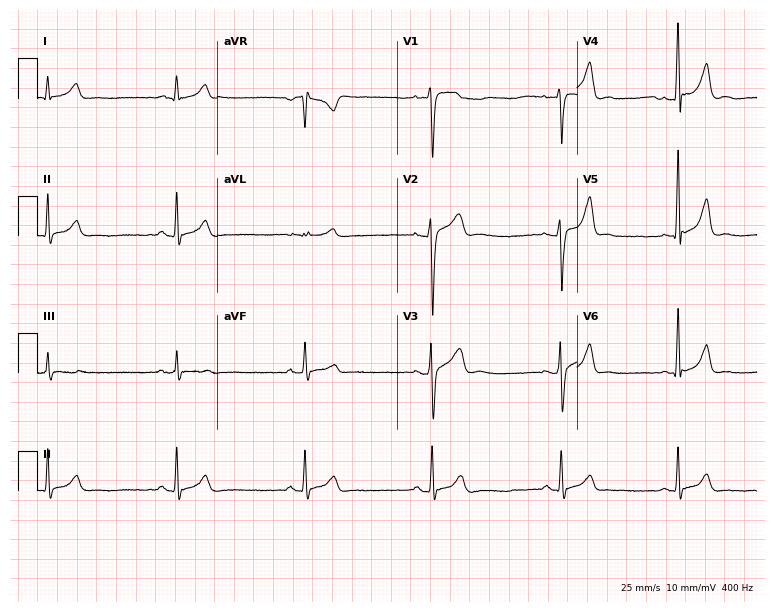
12-lead ECG from a 24-year-old male. Shows sinus bradycardia (a sinus rate of 50 beats per minute or less).